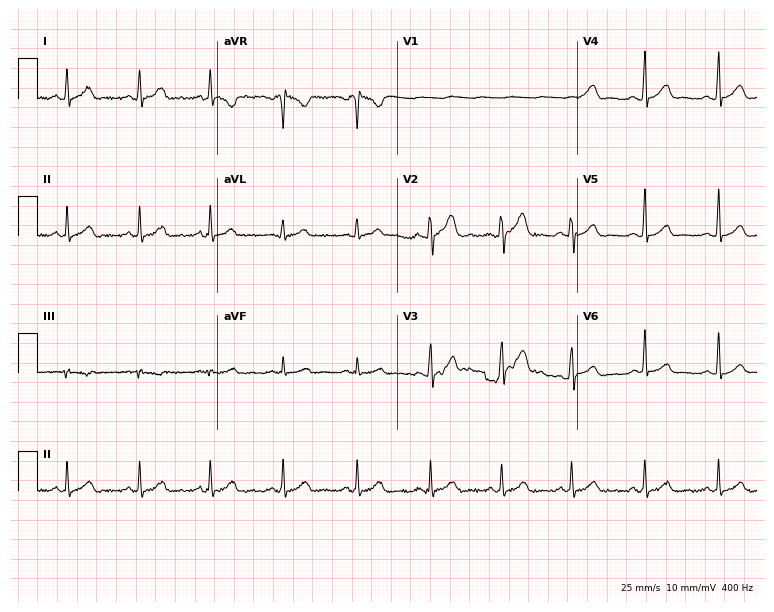
12-lead ECG from a male patient, 20 years old. Labelled as a normal ECG.